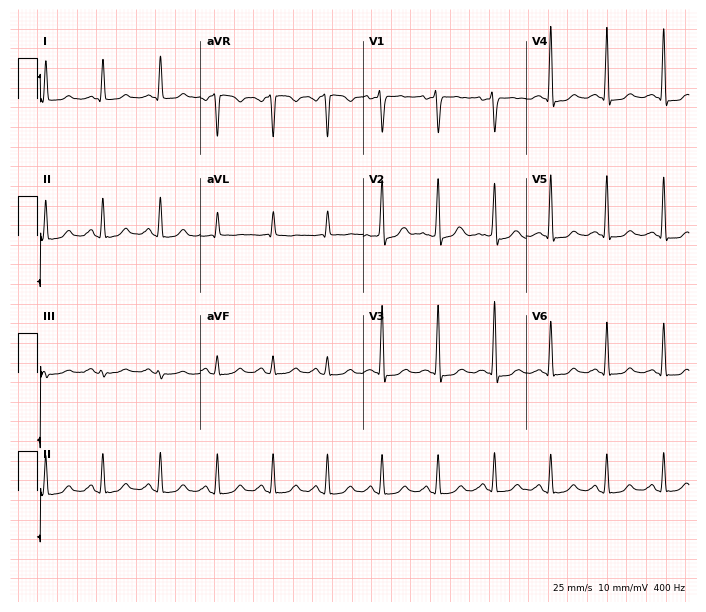
12-lead ECG from a female, 47 years old. No first-degree AV block, right bundle branch block, left bundle branch block, sinus bradycardia, atrial fibrillation or sinus tachycardia recorded for this tracing.